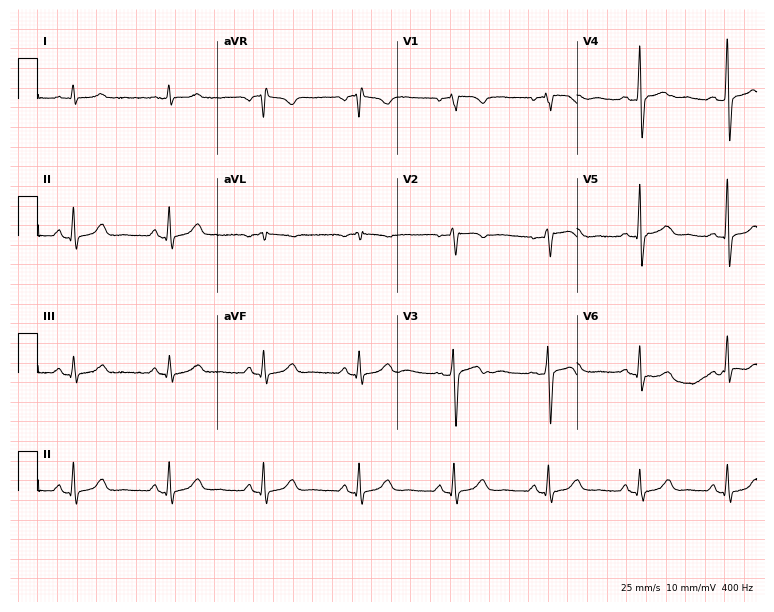
12-lead ECG from a female, 54 years old. Recorded interpretation: within normal limits.